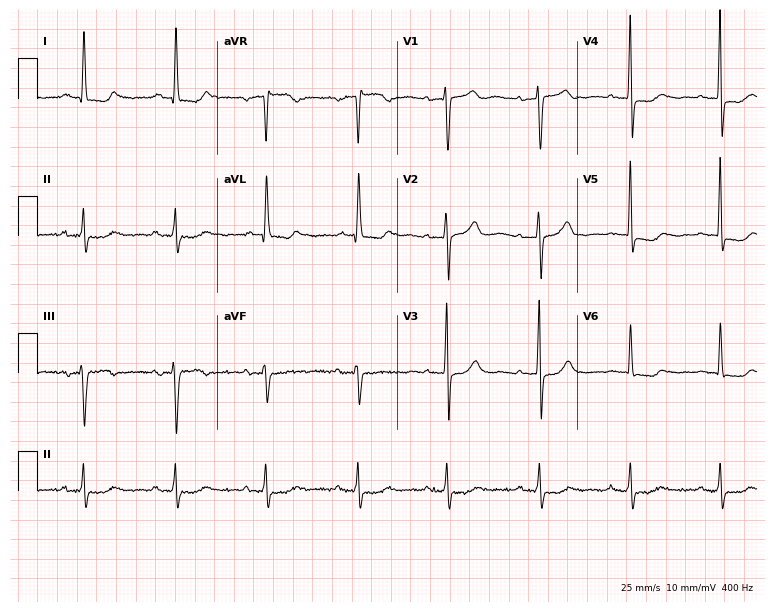
Electrocardiogram, a female, 75 years old. Of the six screened findings (first-degree AV block, right bundle branch block, left bundle branch block, sinus bradycardia, atrial fibrillation, sinus tachycardia), none is recorded. Only these six findings were labelled.